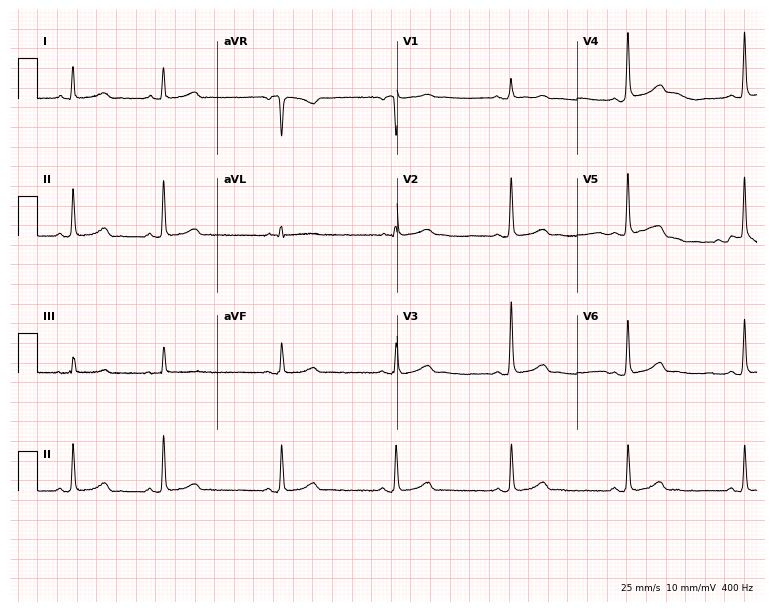
12-lead ECG from a 59-year-old woman. Labelled as a normal ECG.